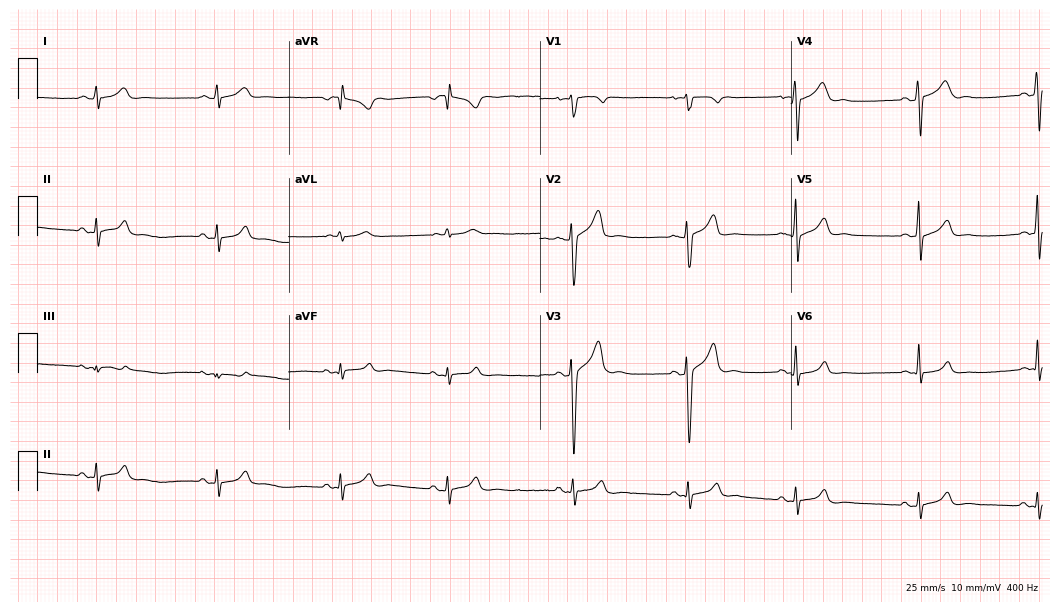
Standard 12-lead ECG recorded from an 18-year-old man. None of these six findings is recorded: first-degree AV block, right bundle branch block, left bundle branch block, sinus bradycardia, atrial fibrillation, sinus tachycardia. Other findings, if any, are not listed.